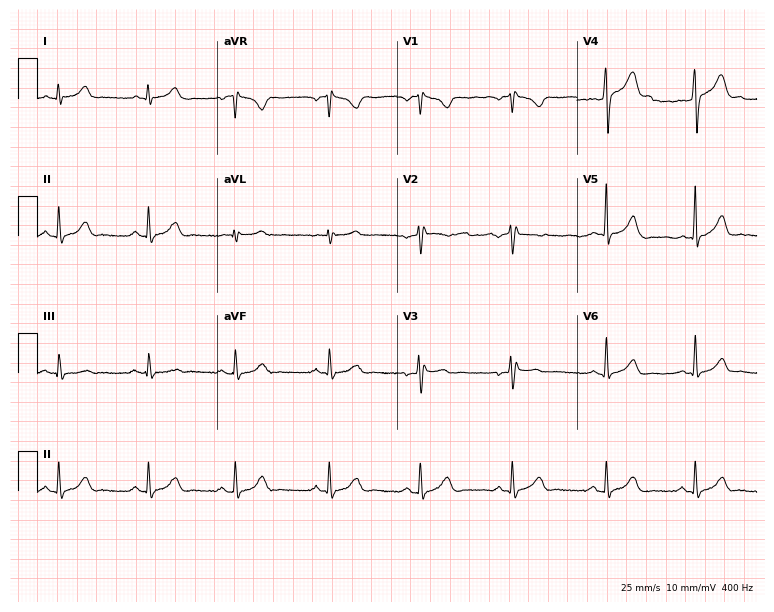
Resting 12-lead electrocardiogram (7.3-second recording at 400 Hz). Patient: a 31-year-old male. None of these six findings is recorded: first-degree AV block, right bundle branch block, left bundle branch block, sinus bradycardia, atrial fibrillation, sinus tachycardia.